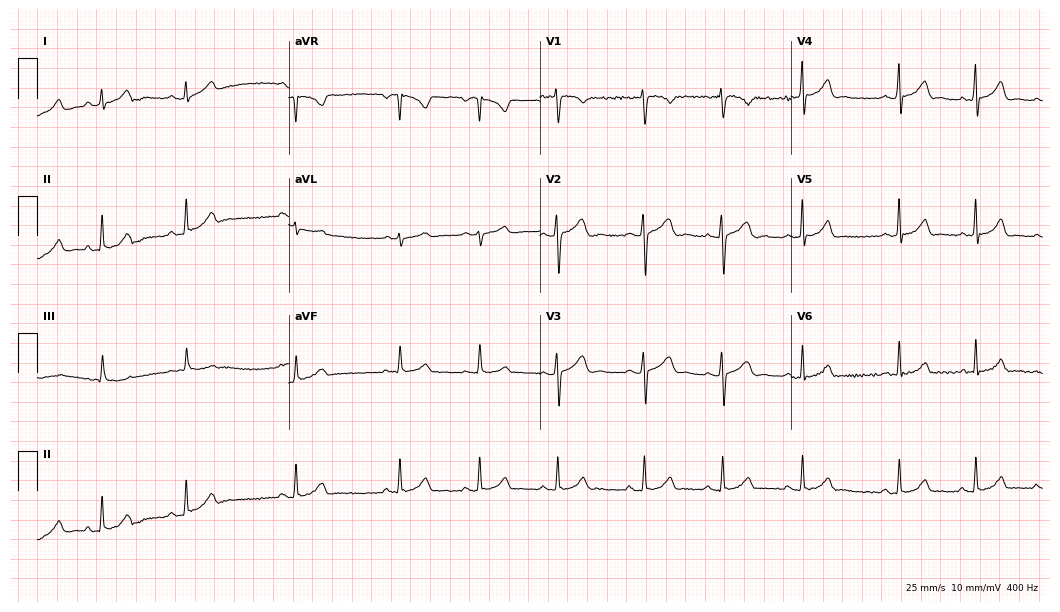
12-lead ECG (10.2-second recording at 400 Hz) from a female, 18 years old. Labelled as a normal ECG.